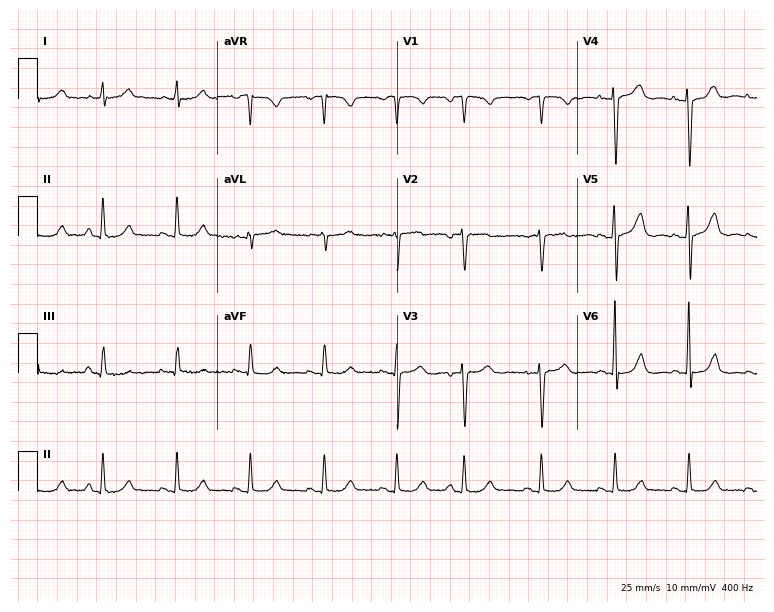
Resting 12-lead electrocardiogram (7.3-second recording at 400 Hz). Patient: a 64-year-old woman. None of these six findings is recorded: first-degree AV block, right bundle branch block, left bundle branch block, sinus bradycardia, atrial fibrillation, sinus tachycardia. Findings outside these six are not listed.